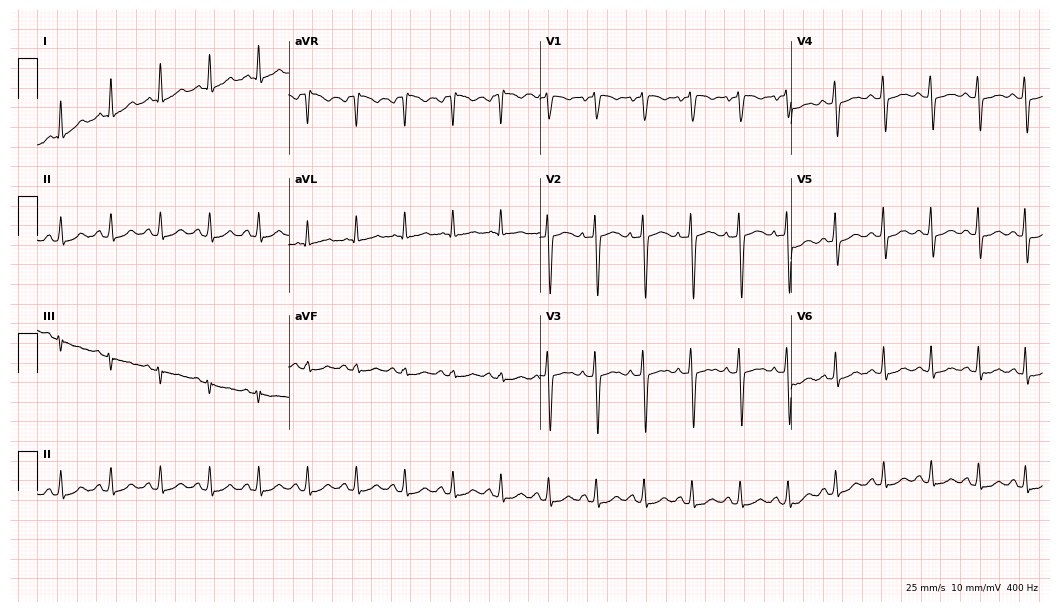
Resting 12-lead electrocardiogram. Patient: a woman, 29 years old. The tracing shows sinus tachycardia (a sinus rate of 100 beats per minute or more).